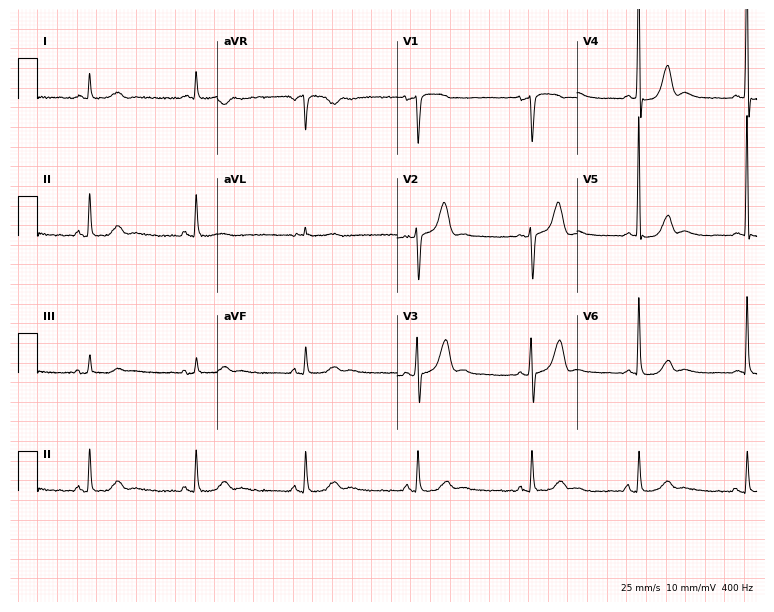
Standard 12-lead ECG recorded from a woman, 68 years old (7.3-second recording at 400 Hz). Read as a normal ECG.